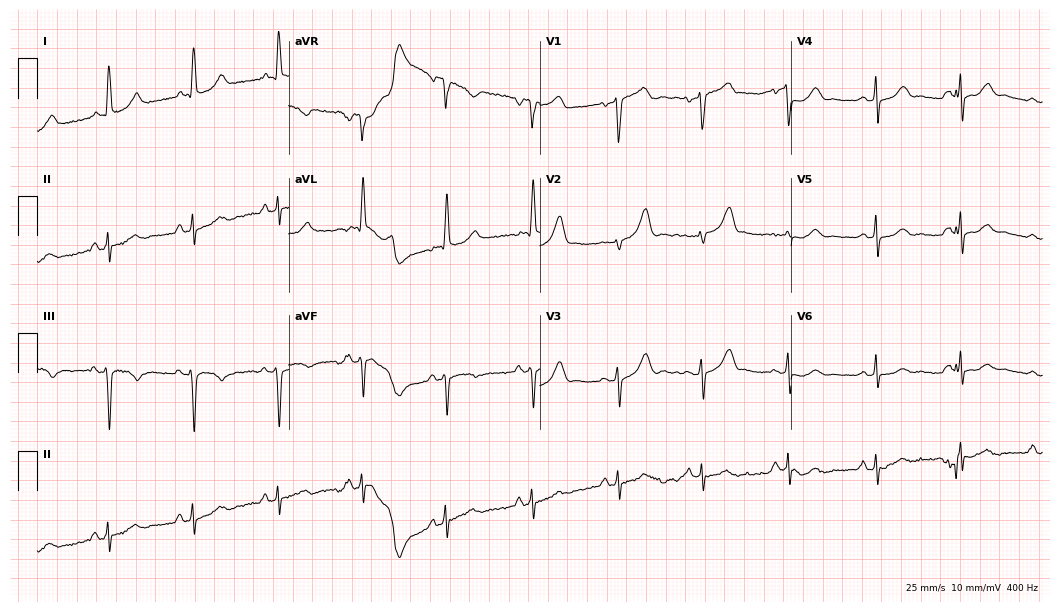
12-lead ECG from a female, 57 years old. No first-degree AV block, right bundle branch block, left bundle branch block, sinus bradycardia, atrial fibrillation or sinus tachycardia recorded for this tracing.